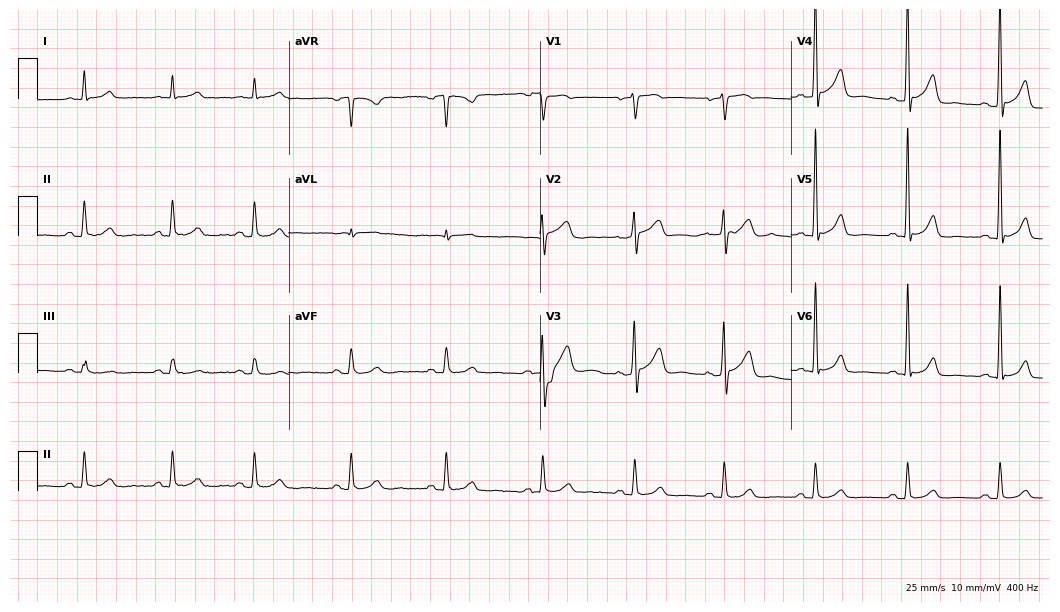
12-lead ECG (10.2-second recording at 400 Hz) from a man, 73 years old. Labelled as a normal ECG.